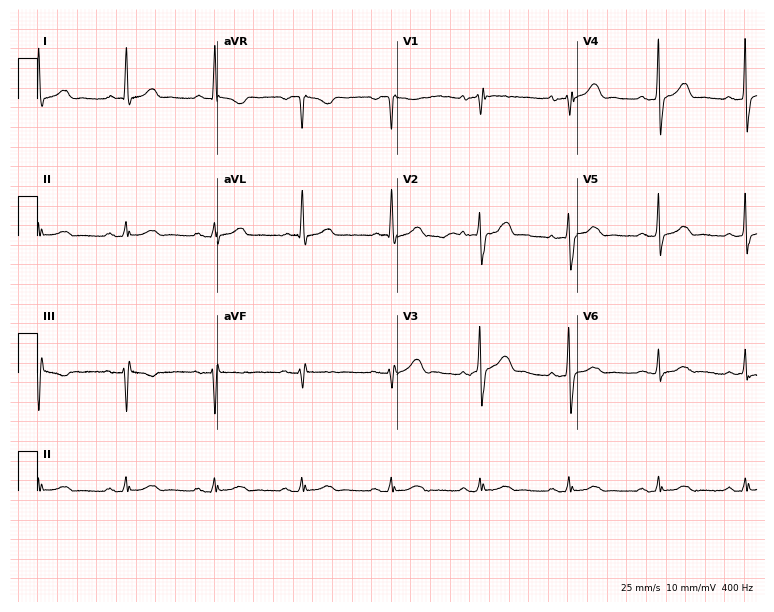
ECG (7.3-second recording at 400 Hz) — a male patient, 70 years old. Labelled as a normal ECG.